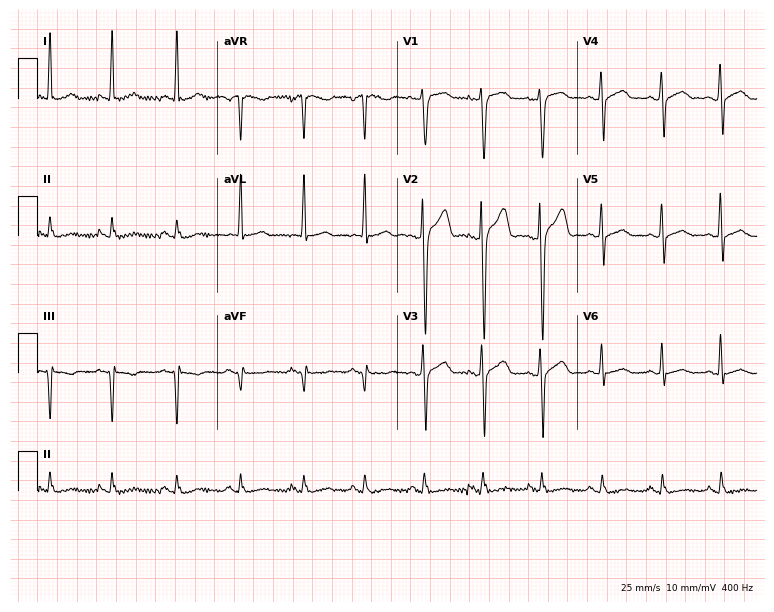
12-lead ECG from a male patient, 43 years old. No first-degree AV block, right bundle branch block, left bundle branch block, sinus bradycardia, atrial fibrillation or sinus tachycardia recorded for this tracing.